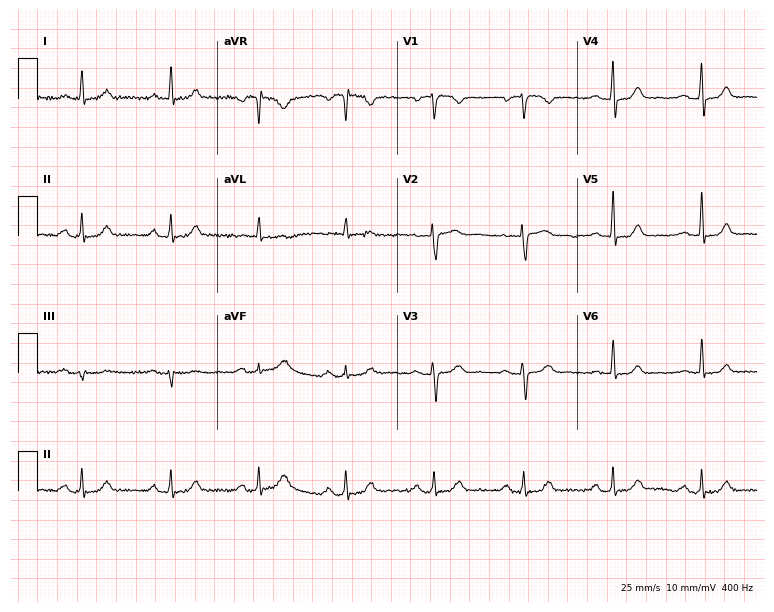
12-lead ECG from a female patient, 62 years old. Screened for six findings — first-degree AV block, right bundle branch block, left bundle branch block, sinus bradycardia, atrial fibrillation, sinus tachycardia — none is recorded.